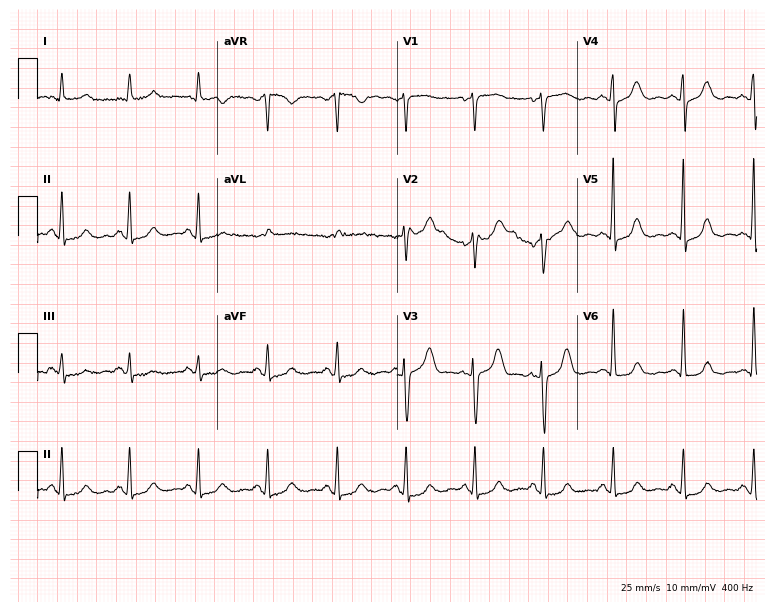
12-lead ECG from a 76-year-old female patient. No first-degree AV block, right bundle branch block (RBBB), left bundle branch block (LBBB), sinus bradycardia, atrial fibrillation (AF) or sinus tachycardia recorded for this tracing.